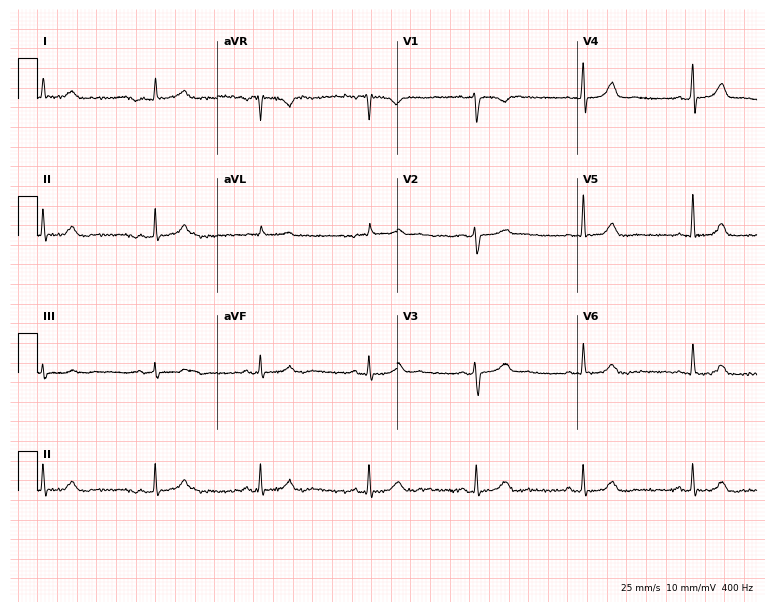
ECG (7.3-second recording at 400 Hz) — a 46-year-old female patient. Screened for six findings — first-degree AV block, right bundle branch block, left bundle branch block, sinus bradycardia, atrial fibrillation, sinus tachycardia — none is recorded.